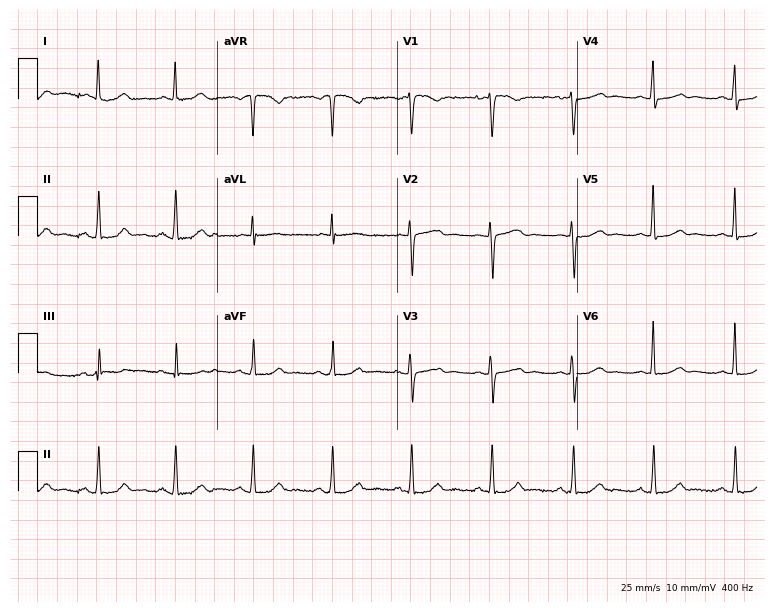
Standard 12-lead ECG recorded from a female, 45 years old (7.3-second recording at 400 Hz). None of these six findings is recorded: first-degree AV block, right bundle branch block (RBBB), left bundle branch block (LBBB), sinus bradycardia, atrial fibrillation (AF), sinus tachycardia. Other findings, if any, are not listed.